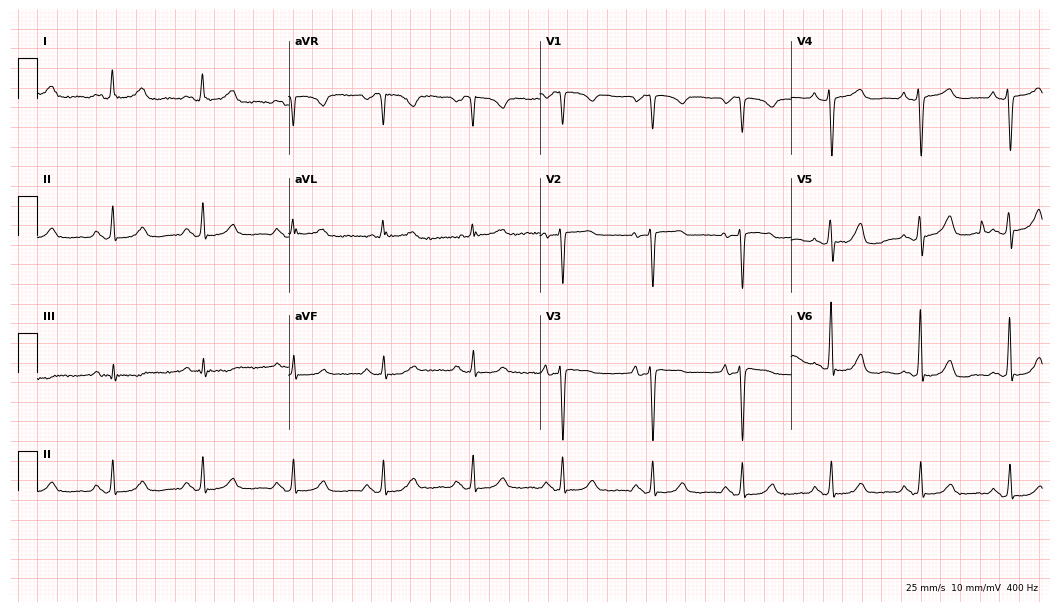
Resting 12-lead electrocardiogram. Patient: a female, 84 years old. None of these six findings is recorded: first-degree AV block, right bundle branch block, left bundle branch block, sinus bradycardia, atrial fibrillation, sinus tachycardia.